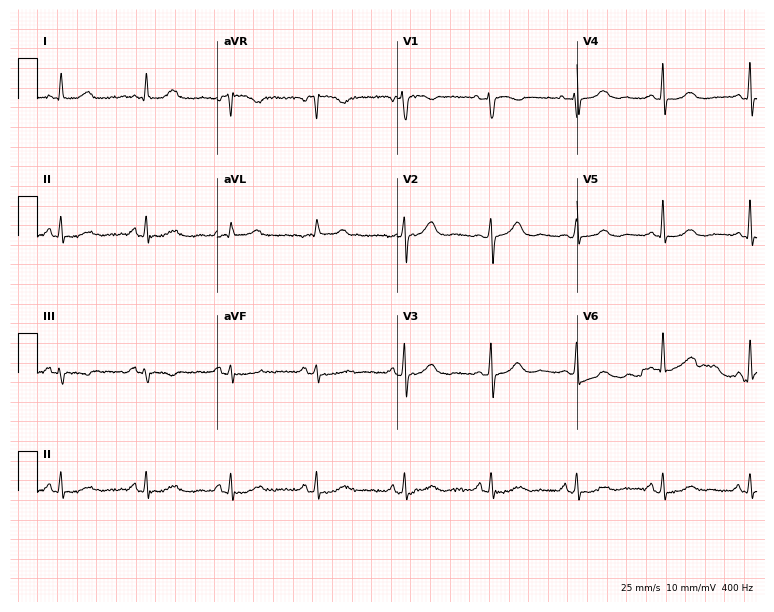
12-lead ECG from a female, 75 years old (7.3-second recording at 400 Hz). No first-degree AV block, right bundle branch block (RBBB), left bundle branch block (LBBB), sinus bradycardia, atrial fibrillation (AF) or sinus tachycardia recorded for this tracing.